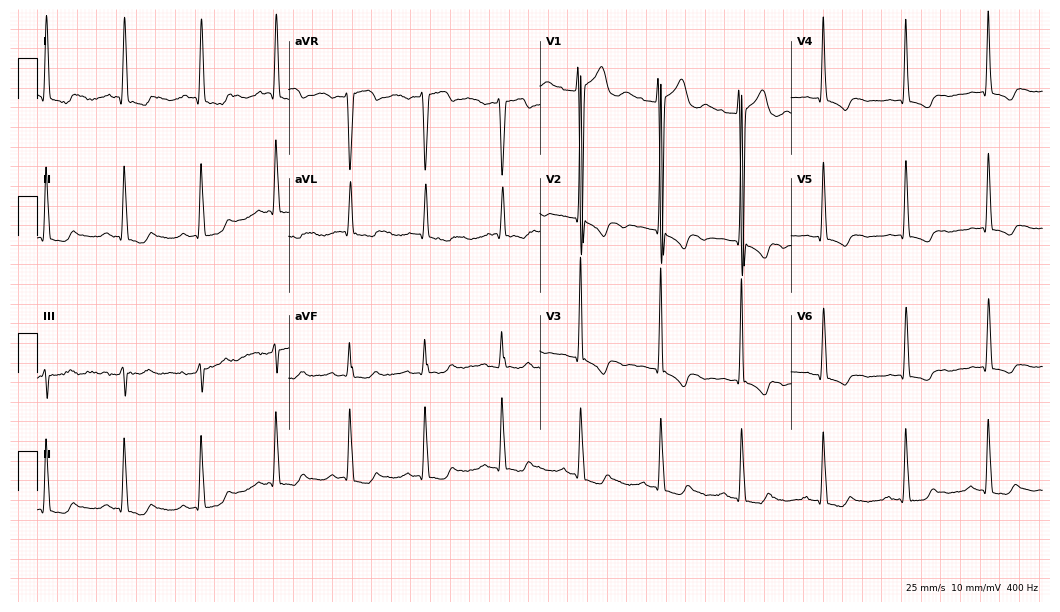
12-lead ECG from a 63-year-old male (10.2-second recording at 400 Hz). No first-degree AV block, right bundle branch block, left bundle branch block, sinus bradycardia, atrial fibrillation or sinus tachycardia recorded for this tracing. Findings outside these six are not listed.